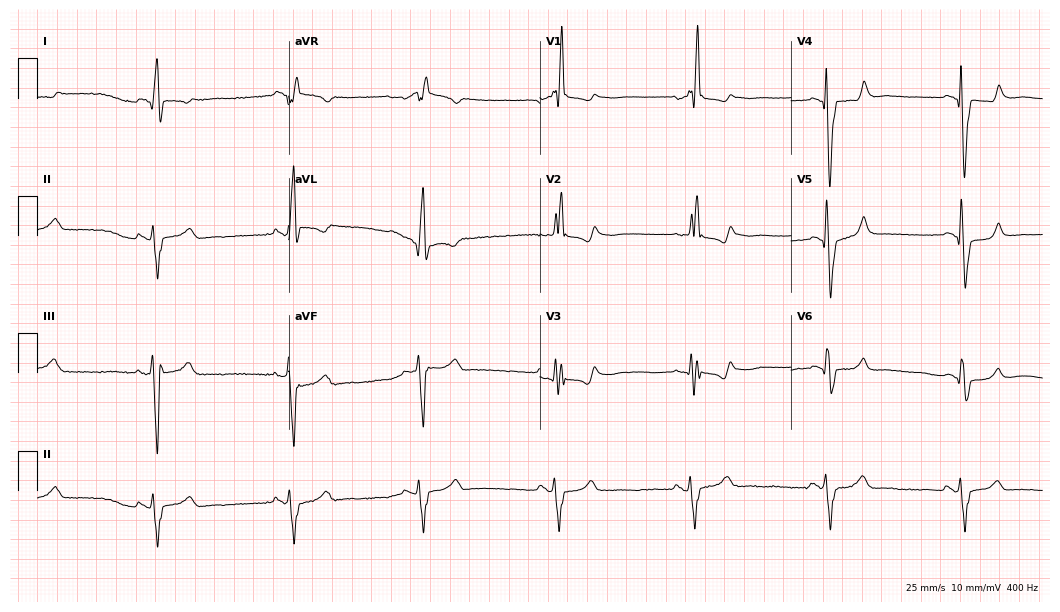
12-lead ECG from a 78-year-old man. Shows right bundle branch block, sinus bradycardia (a sinus rate of 50 beats per minute or less).